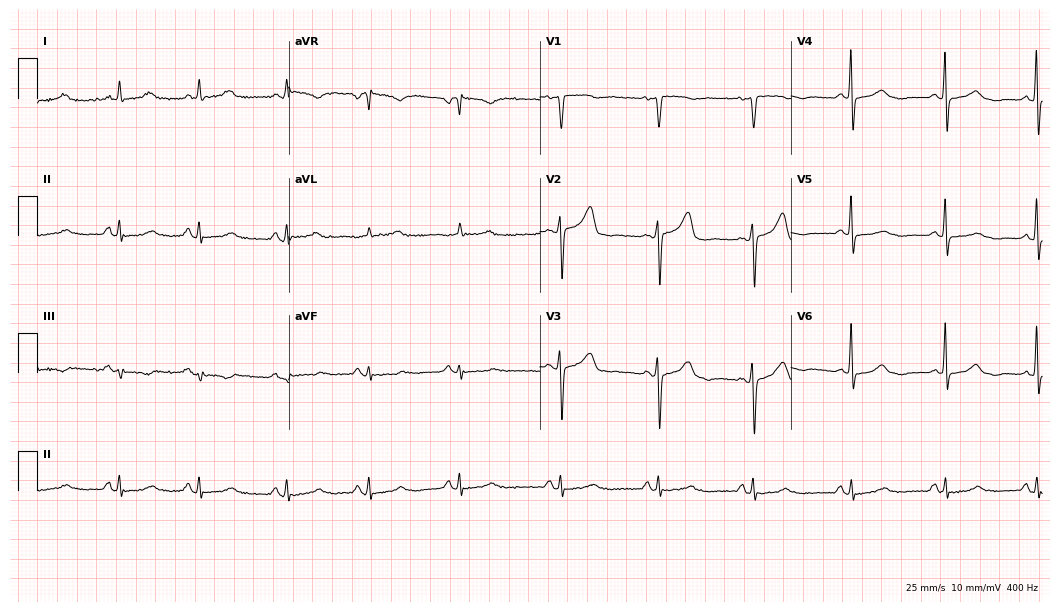
12-lead ECG from a female, 64 years old (10.2-second recording at 400 Hz). Recorded interpretation: within normal limits.